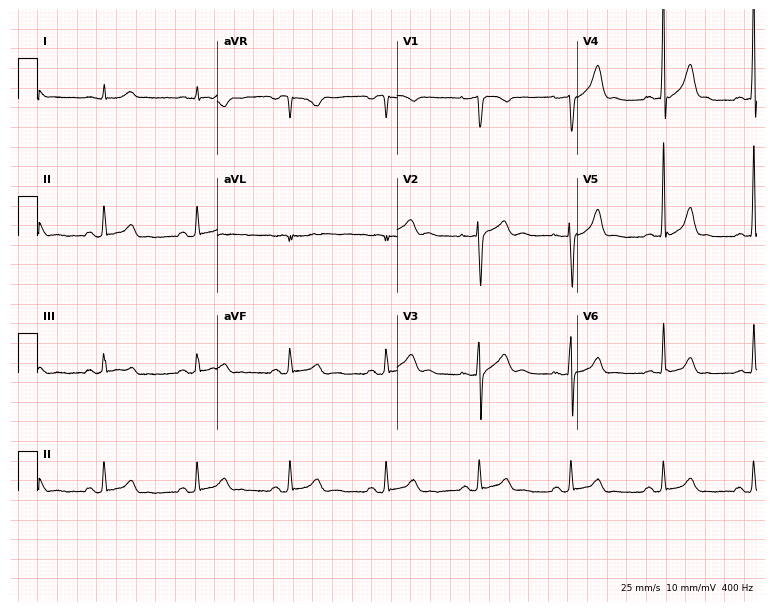
Standard 12-lead ECG recorded from a 34-year-old male (7.3-second recording at 400 Hz). Read as a normal ECG.